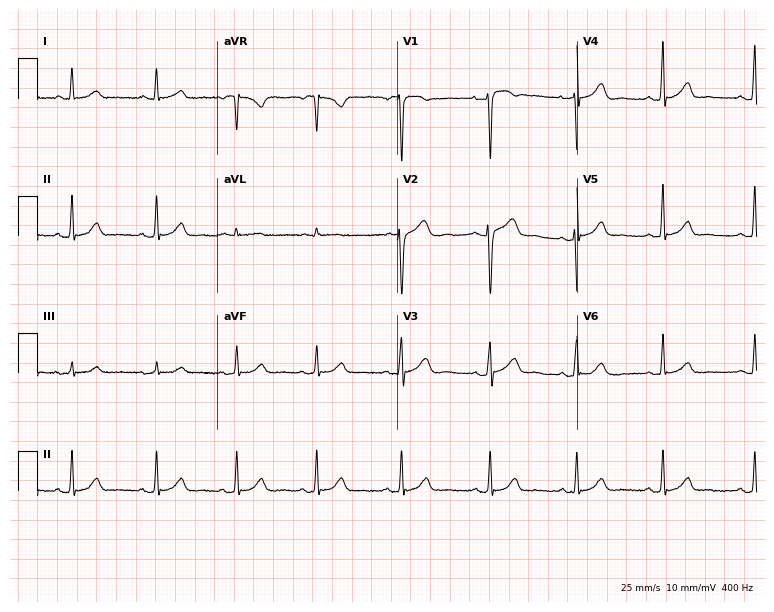
12-lead ECG from a 33-year-old woman. Screened for six findings — first-degree AV block, right bundle branch block, left bundle branch block, sinus bradycardia, atrial fibrillation, sinus tachycardia — none is recorded.